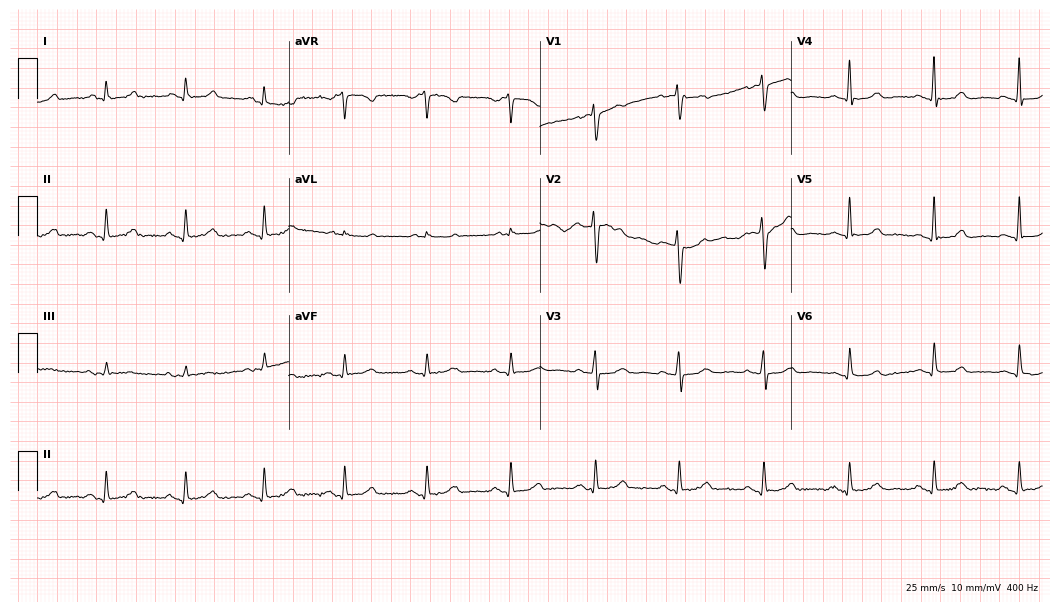
12-lead ECG (10.2-second recording at 400 Hz) from a female, 76 years old. Labelled as a normal ECG.